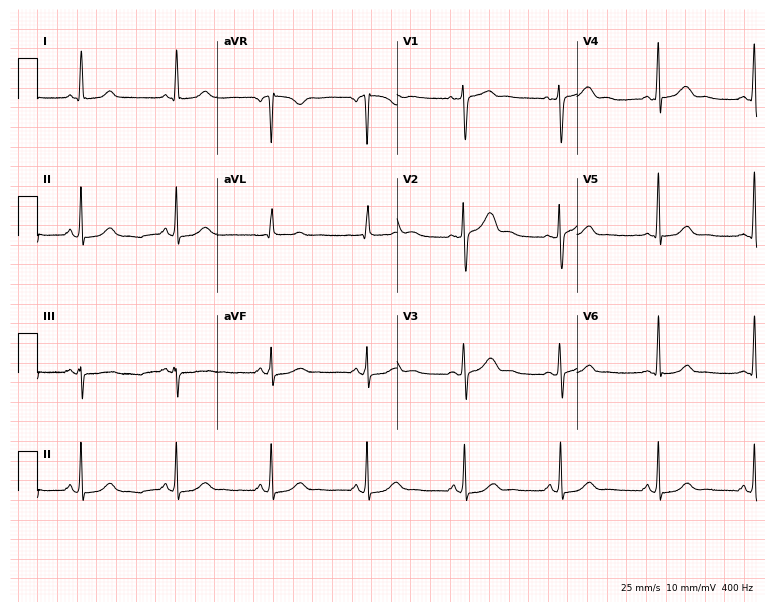
12-lead ECG from a 38-year-old woman. Recorded interpretation: within normal limits.